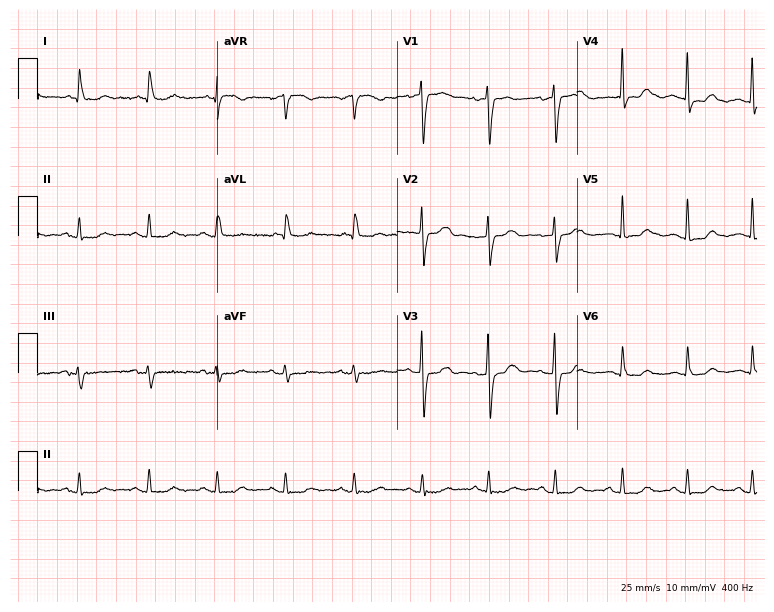
Standard 12-lead ECG recorded from a woman, 79 years old. Read as a normal ECG.